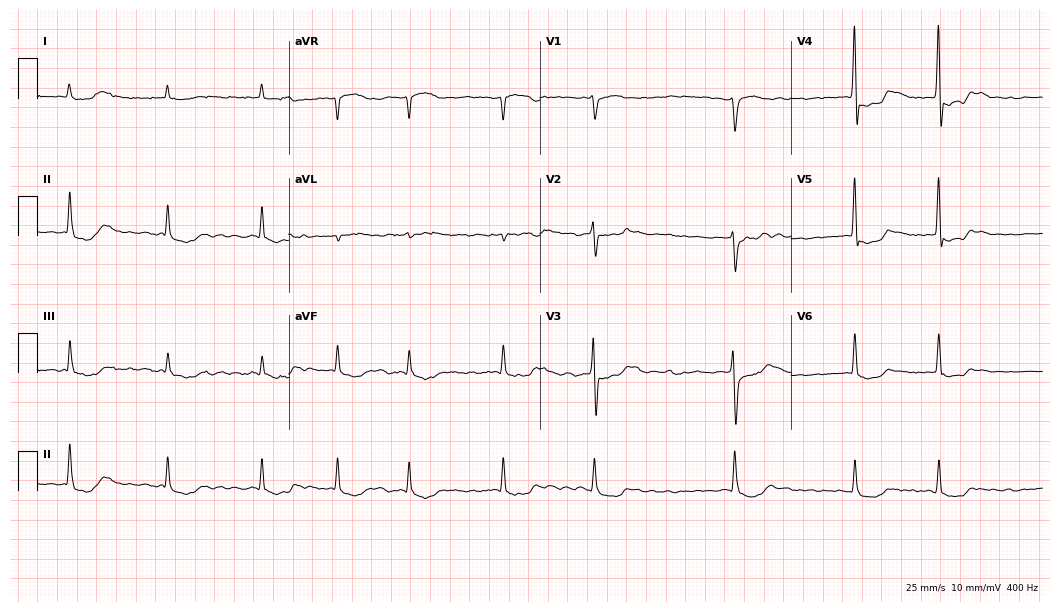
Resting 12-lead electrocardiogram. Patient: an 82-year-old male. The tracing shows atrial fibrillation.